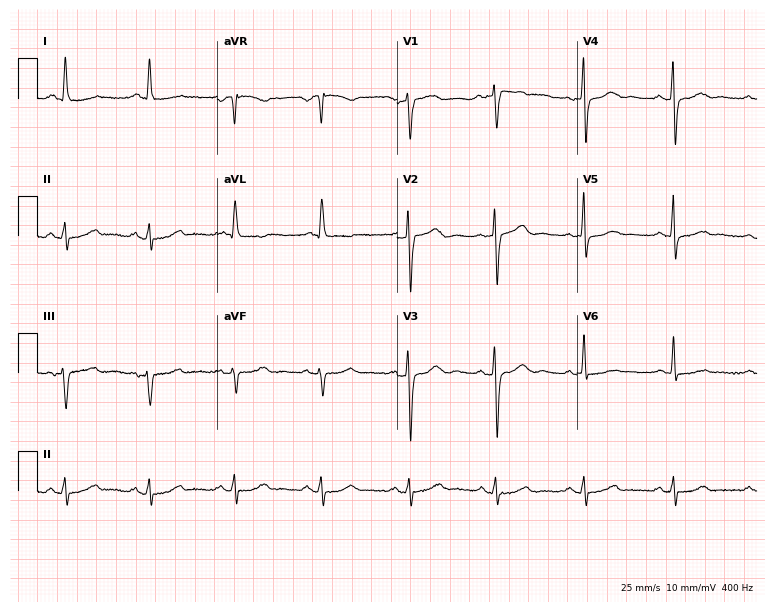
Standard 12-lead ECG recorded from a 61-year-old female patient (7.3-second recording at 400 Hz). Read as a normal ECG.